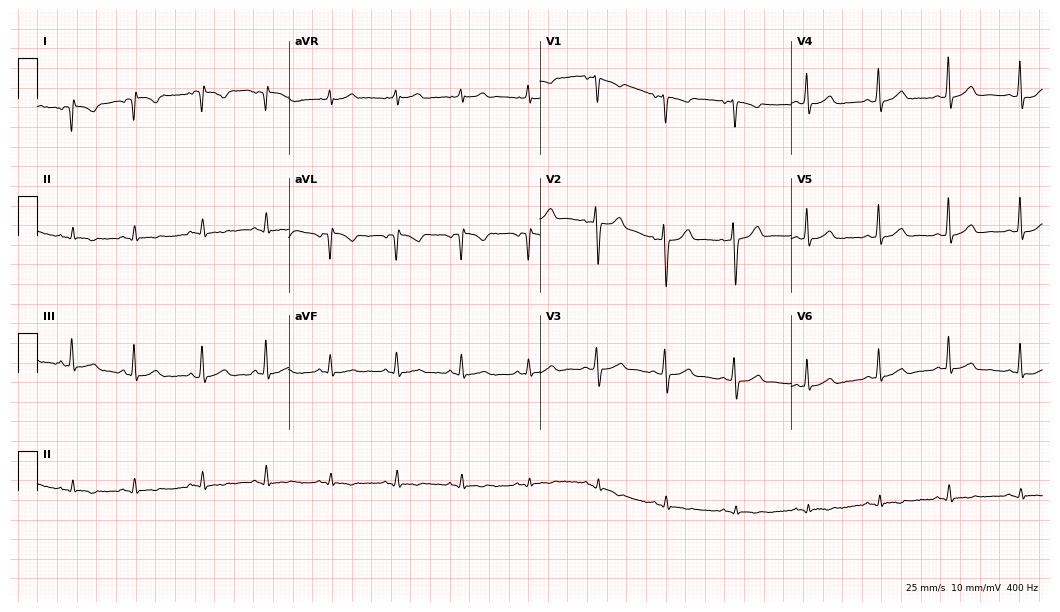
Resting 12-lead electrocardiogram (10.2-second recording at 400 Hz). Patient: a 22-year-old female. None of these six findings is recorded: first-degree AV block, right bundle branch block (RBBB), left bundle branch block (LBBB), sinus bradycardia, atrial fibrillation (AF), sinus tachycardia. Other findings, if any, are not listed.